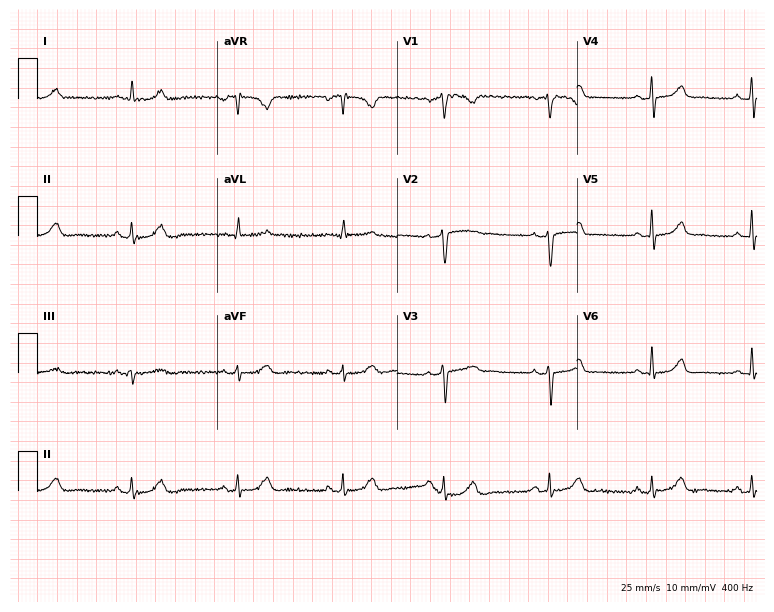
12-lead ECG from a woman, 44 years old. Labelled as a normal ECG.